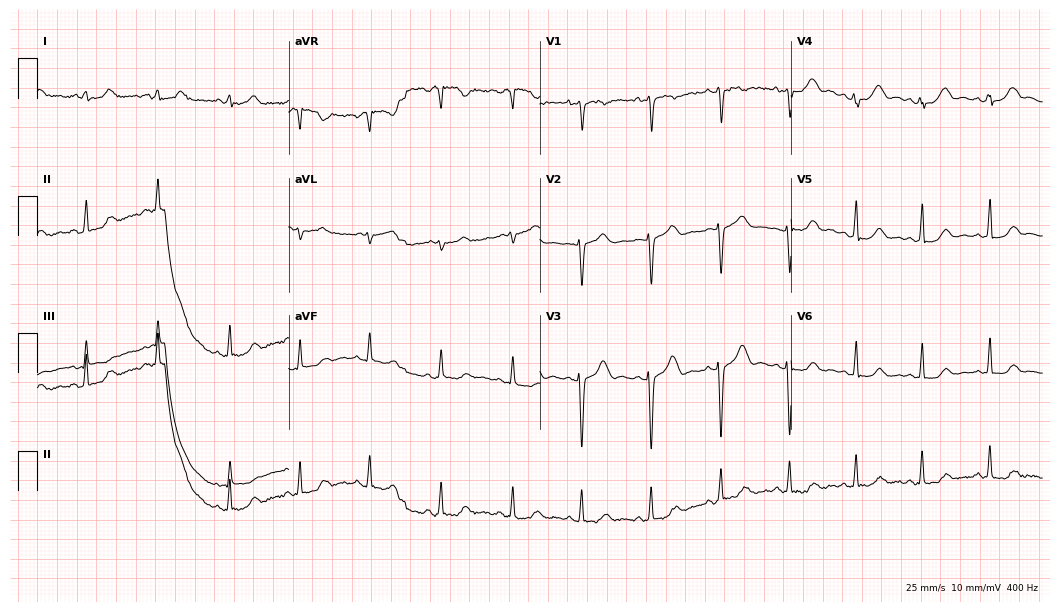
12-lead ECG from a female, 37 years old. Recorded interpretation: within normal limits.